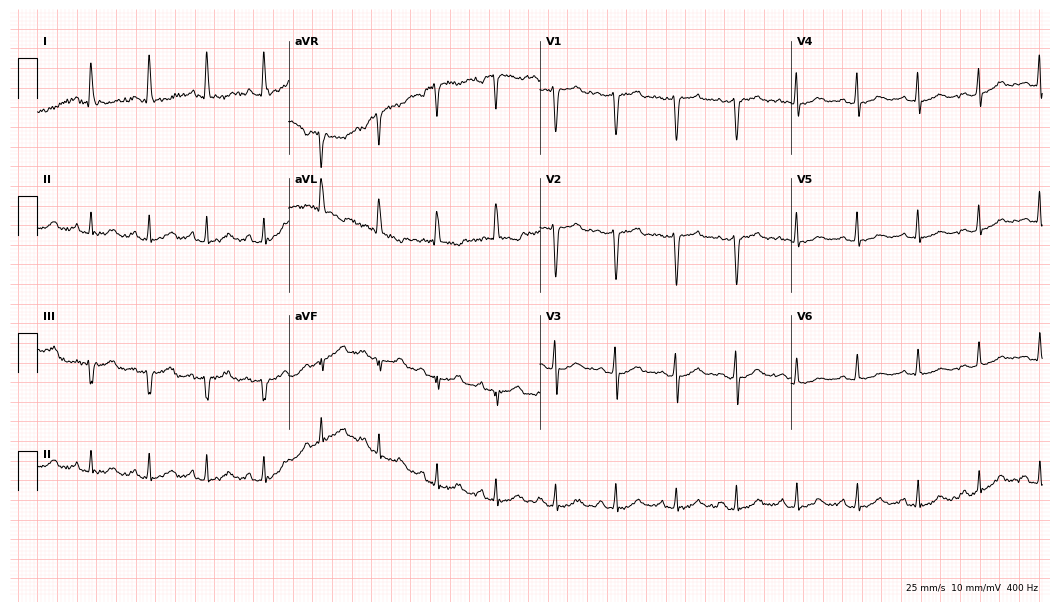
Electrocardiogram, a 42-year-old woman. Overall reading on record: normal ECG.